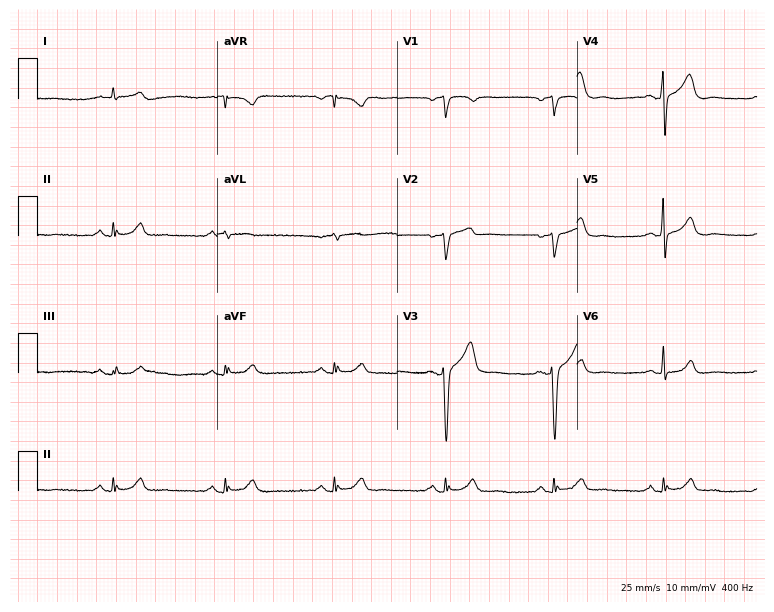
ECG (7.3-second recording at 400 Hz) — a male, 54 years old. Labelled as a normal ECG.